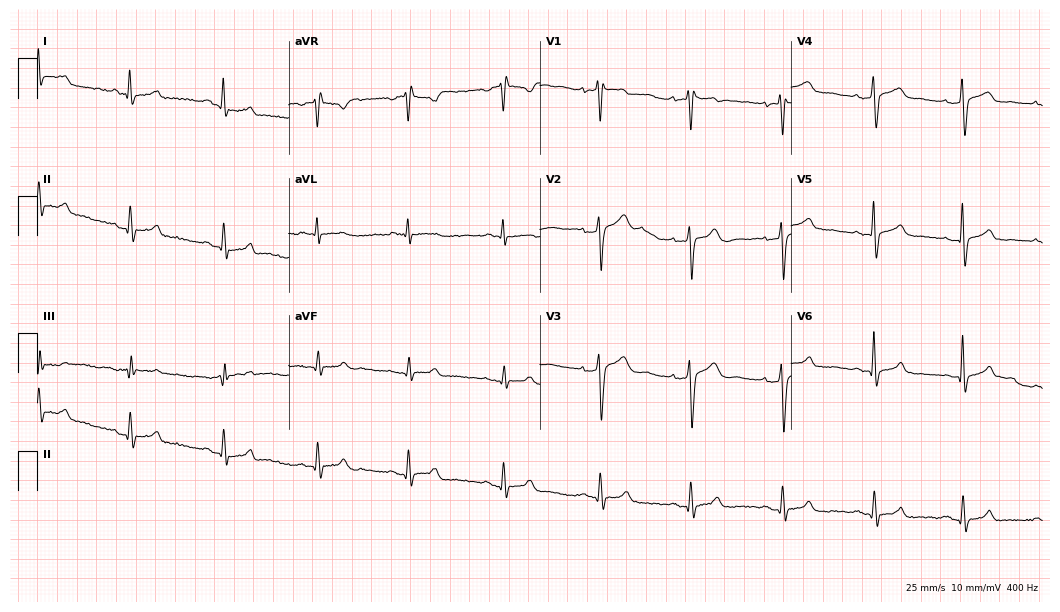
12-lead ECG from a male patient, 36 years old. Labelled as a normal ECG.